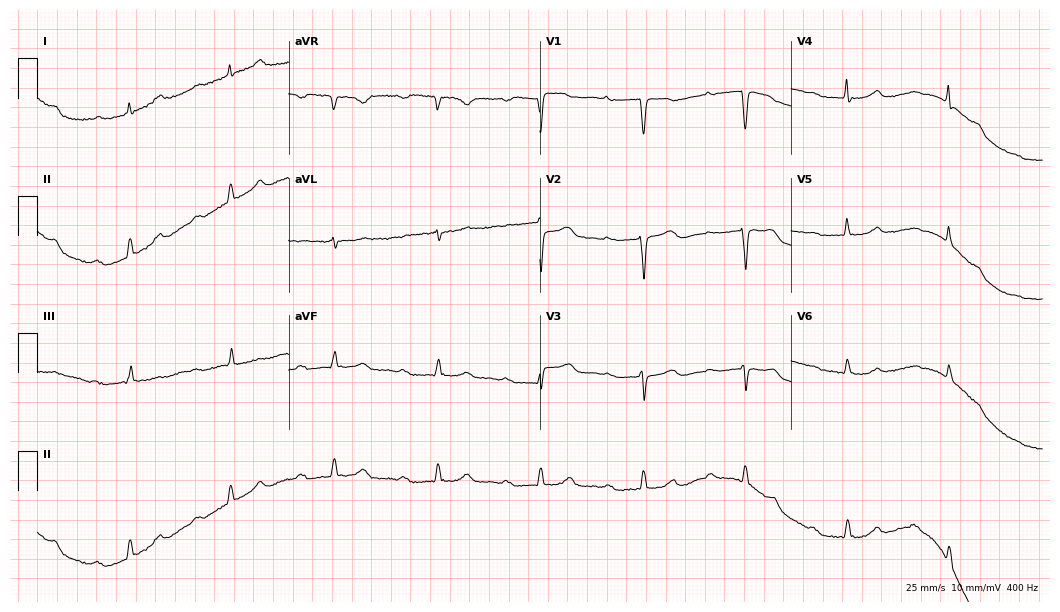
12-lead ECG from a female patient, 66 years old. Findings include first-degree AV block.